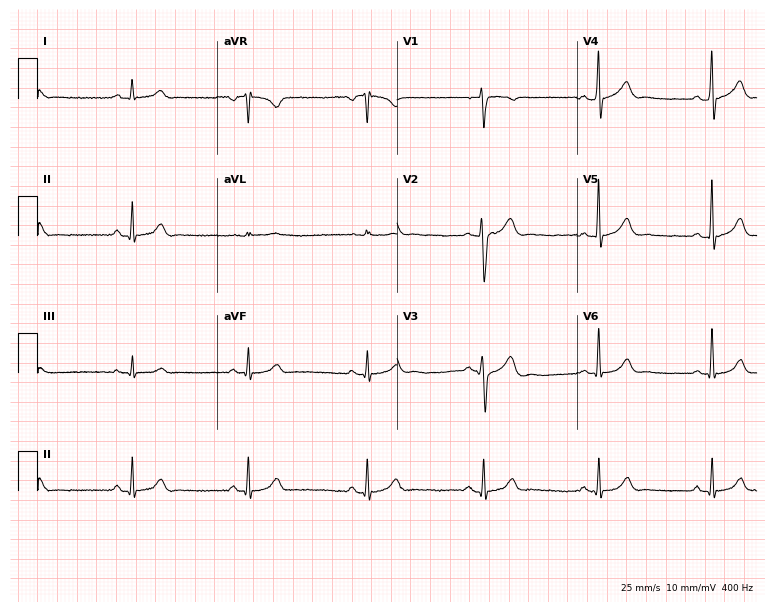
12-lead ECG from a male, 49 years old (7.3-second recording at 400 Hz). Shows sinus bradycardia (a sinus rate of 50 beats per minute or less).